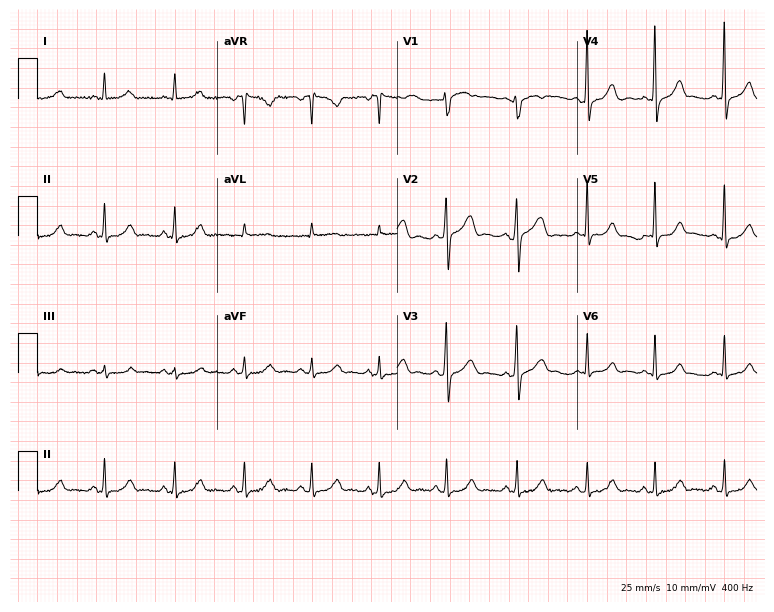
12-lead ECG from a 51-year-old female (7.3-second recording at 400 Hz). No first-degree AV block, right bundle branch block, left bundle branch block, sinus bradycardia, atrial fibrillation or sinus tachycardia recorded for this tracing.